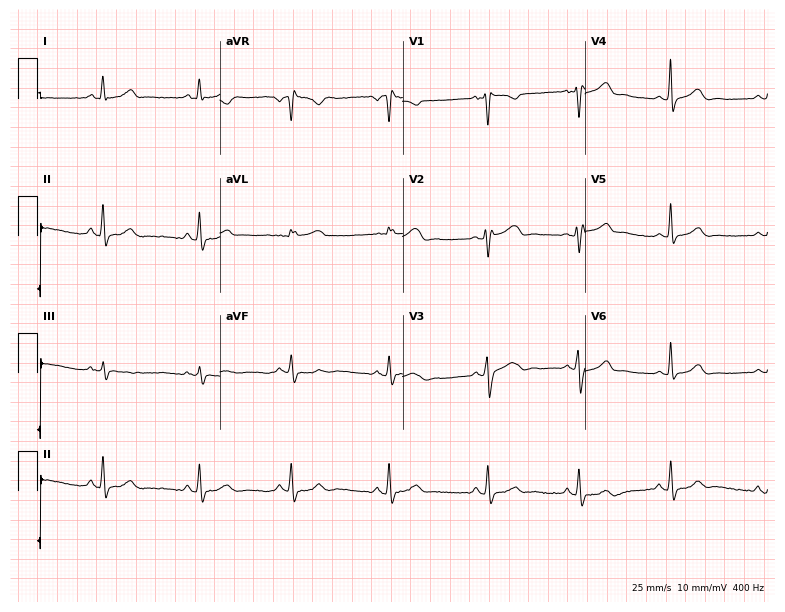
Resting 12-lead electrocardiogram (7.4-second recording at 400 Hz). Patient: a woman, 26 years old. None of these six findings is recorded: first-degree AV block, right bundle branch block, left bundle branch block, sinus bradycardia, atrial fibrillation, sinus tachycardia.